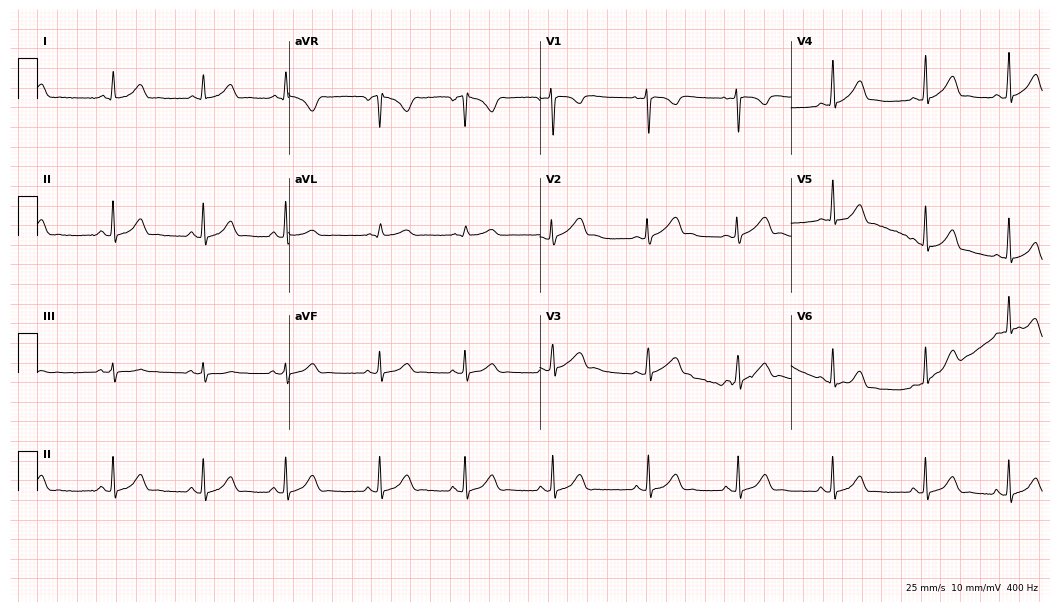
12-lead ECG from a female, 18 years old. Labelled as a normal ECG.